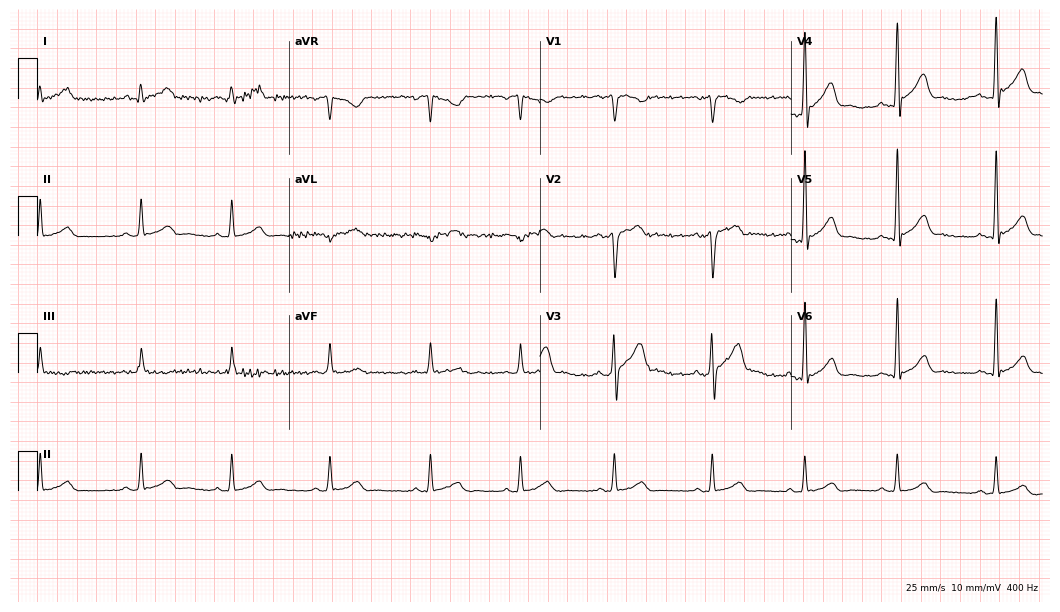
Standard 12-lead ECG recorded from a 28-year-old male. Read as a normal ECG.